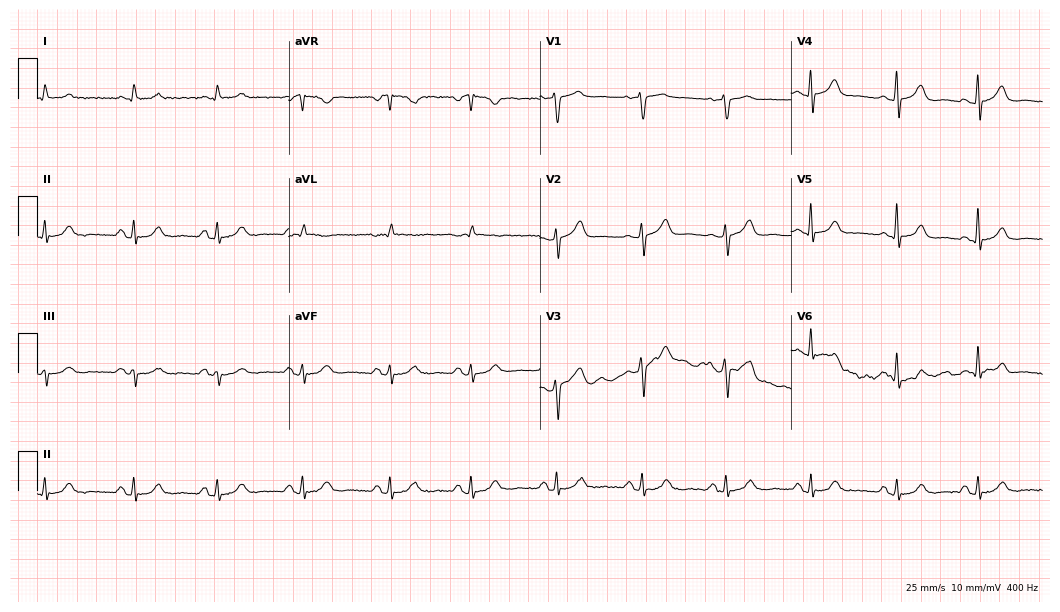
Resting 12-lead electrocardiogram (10.2-second recording at 400 Hz). Patient: a male, 71 years old. None of these six findings is recorded: first-degree AV block, right bundle branch block (RBBB), left bundle branch block (LBBB), sinus bradycardia, atrial fibrillation (AF), sinus tachycardia. Only these six findings were labelled.